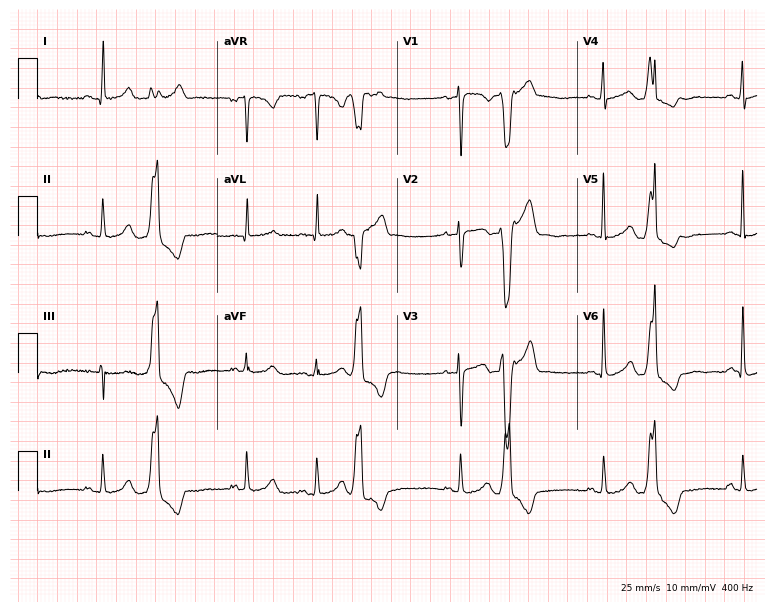
ECG — a female patient, 36 years old. Screened for six findings — first-degree AV block, right bundle branch block, left bundle branch block, sinus bradycardia, atrial fibrillation, sinus tachycardia — none is recorded.